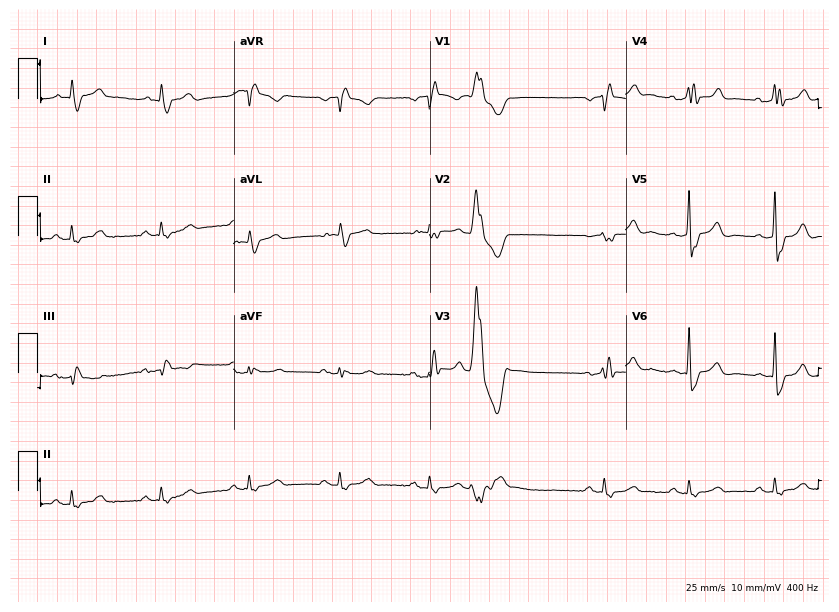
ECG (8-second recording at 400 Hz) — a male, 75 years old. Findings include right bundle branch block (RBBB).